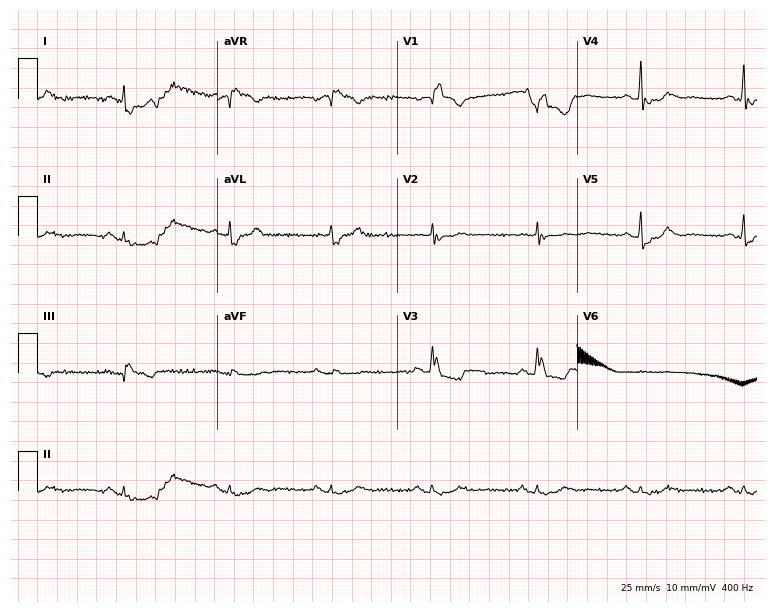
Resting 12-lead electrocardiogram. Patient: a man, 78 years old. None of these six findings is recorded: first-degree AV block, right bundle branch block (RBBB), left bundle branch block (LBBB), sinus bradycardia, atrial fibrillation (AF), sinus tachycardia.